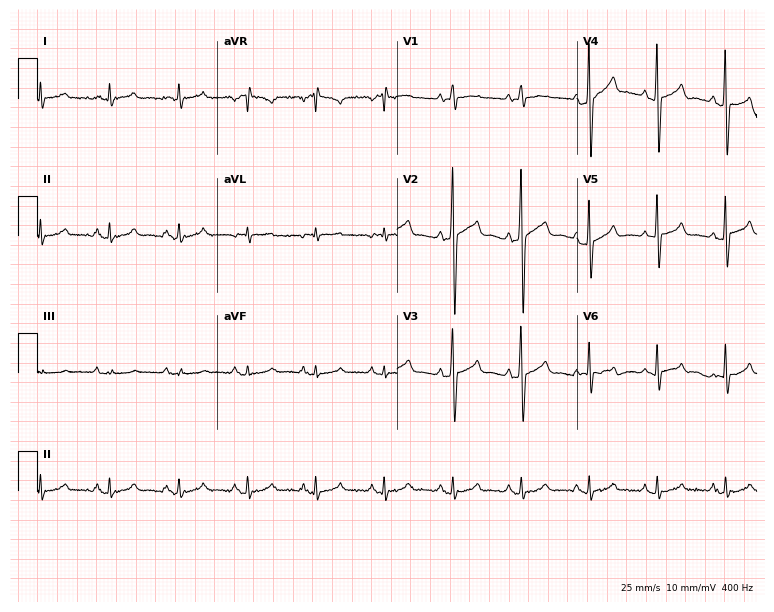
Resting 12-lead electrocardiogram (7.3-second recording at 400 Hz). Patient: a man, 63 years old. None of these six findings is recorded: first-degree AV block, right bundle branch block, left bundle branch block, sinus bradycardia, atrial fibrillation, sinus tachycardia. Other findings, if any, are not listed.